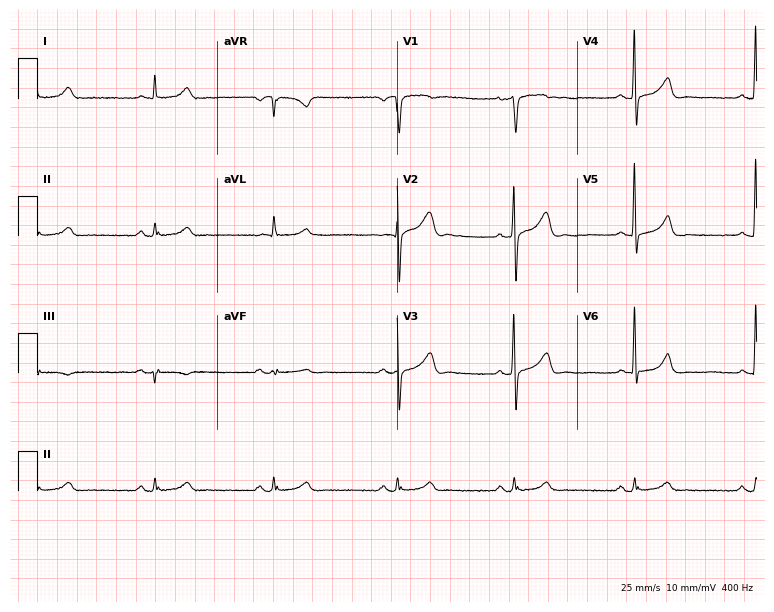
Electrocardiogram, a man, 68 years old. Interpretation includes sinus bradycardia (a sinus rate of 50 beats per minute or less).